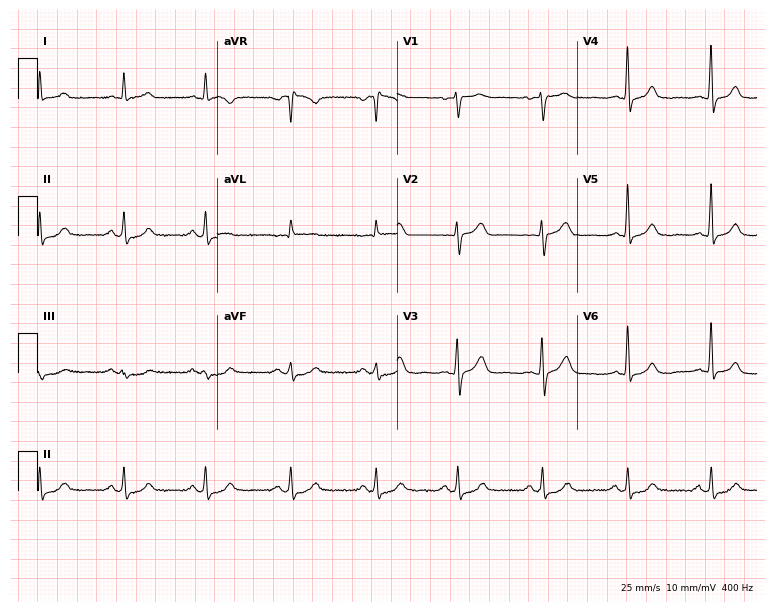
12-lead ECG from a 71-year-old woman (7.3-second recording at 400 Hz). Recorded interpretation: within normal limits.